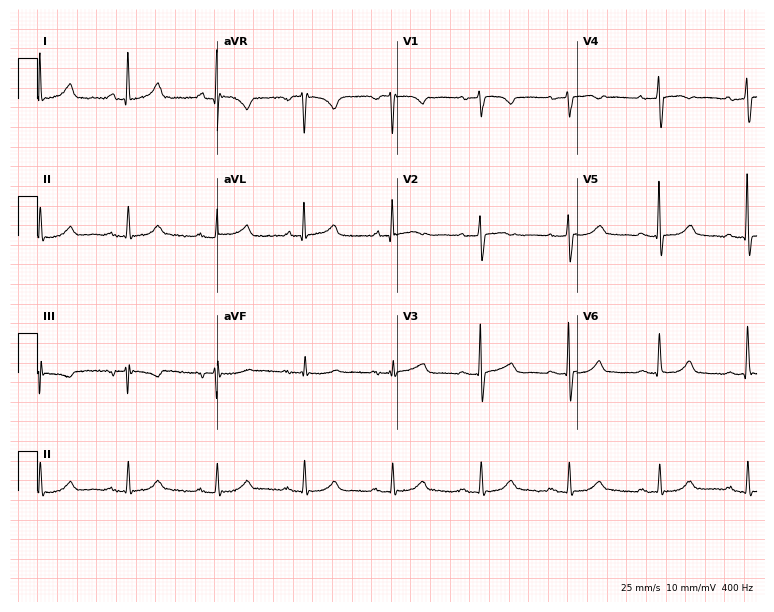
ECG — a 74-year-old female patient. Labelled as a normal ECG.